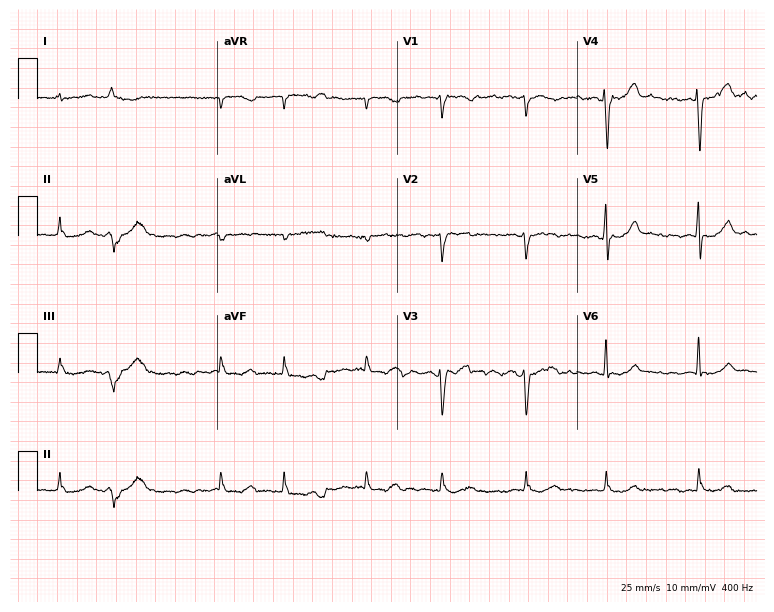
ECG (7.3-second recording at 400 Hz) — an 84-year-old male patient. Findings include atrial fibrillation.